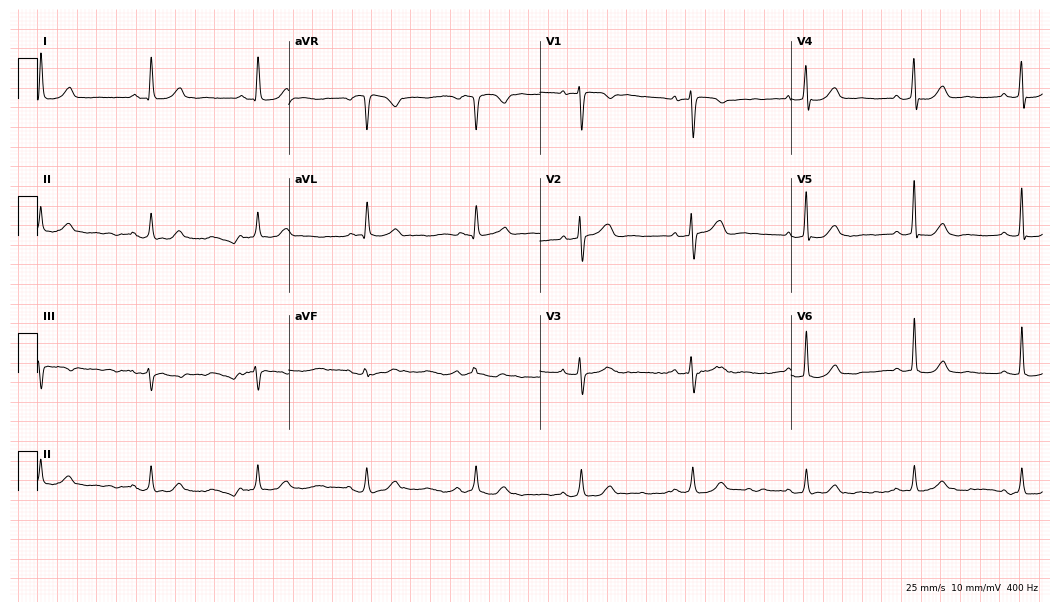
Resting 12-lead electrocardiogram (10.2-second recording at 400 Hz). Patient: a female, 69 years old. Read as a normal ECG.